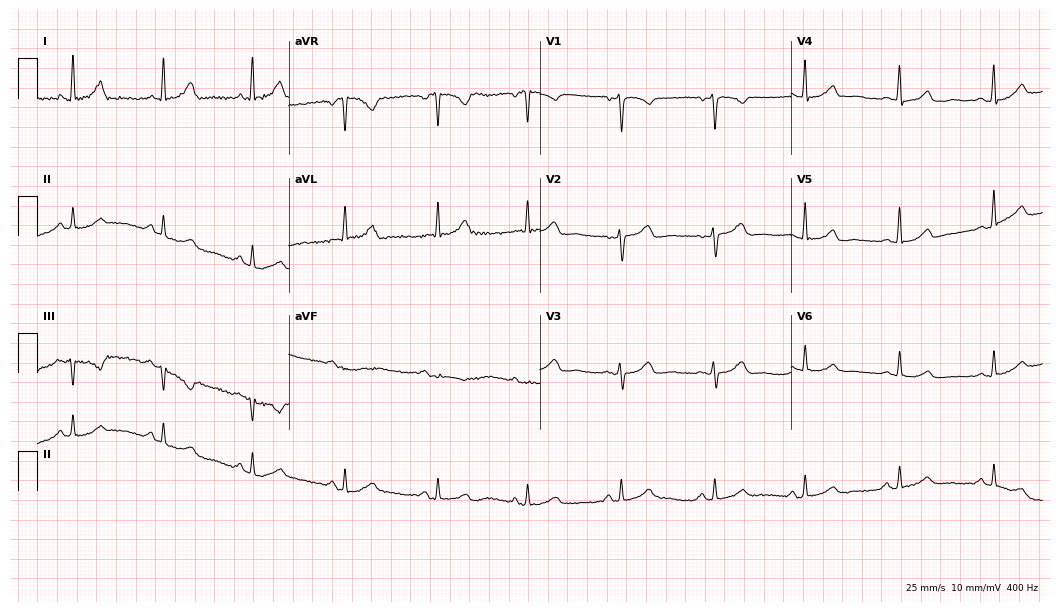
12-lead ECG from a female patient, 39 years old. Recorded interpretation: within normal limits.